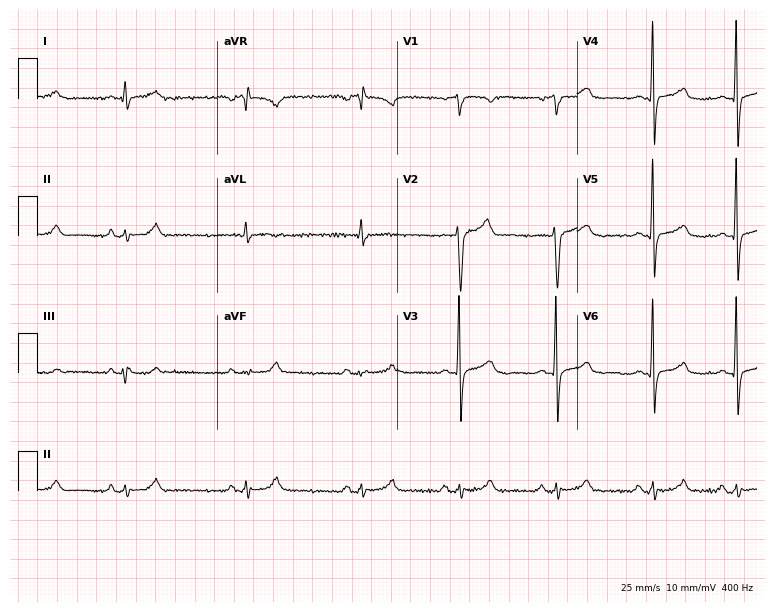
12-lead ECG from a male, 31 years old (7.3-second recording at 400 Hz). No first-degree AV block, right bundle branch block (RBBB), left bundle branch block (LBBB), sinus bradycardia, atrial fibrillation (AF) or sinus tachycardia recorded for this tracing.